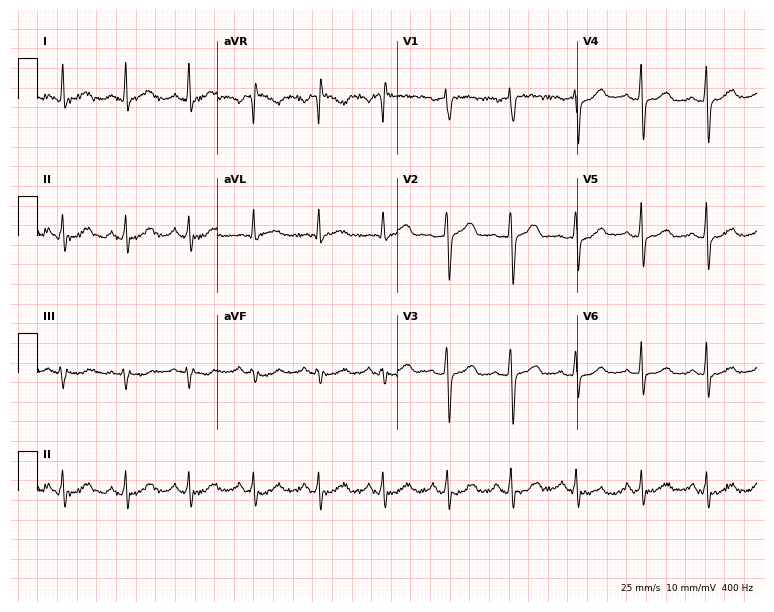
12-lead ECG (7.3-second recording at 400 Hz) from a female patient, 56 years old. Screened for six findings — first-degree AV block, right bundle branch block, left bundle branch block, sinus bradycardia, atrial fibrillation, sinus tachycardia — none is recorded.